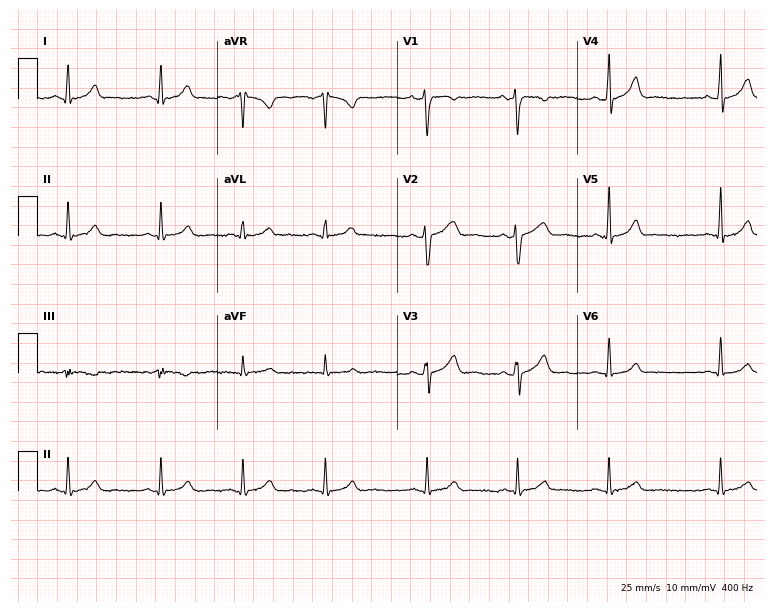
12-lead ECG (7.3-second recording at 400 Hz) from a 24-year-old female patient. Labelled as a normal ECG.